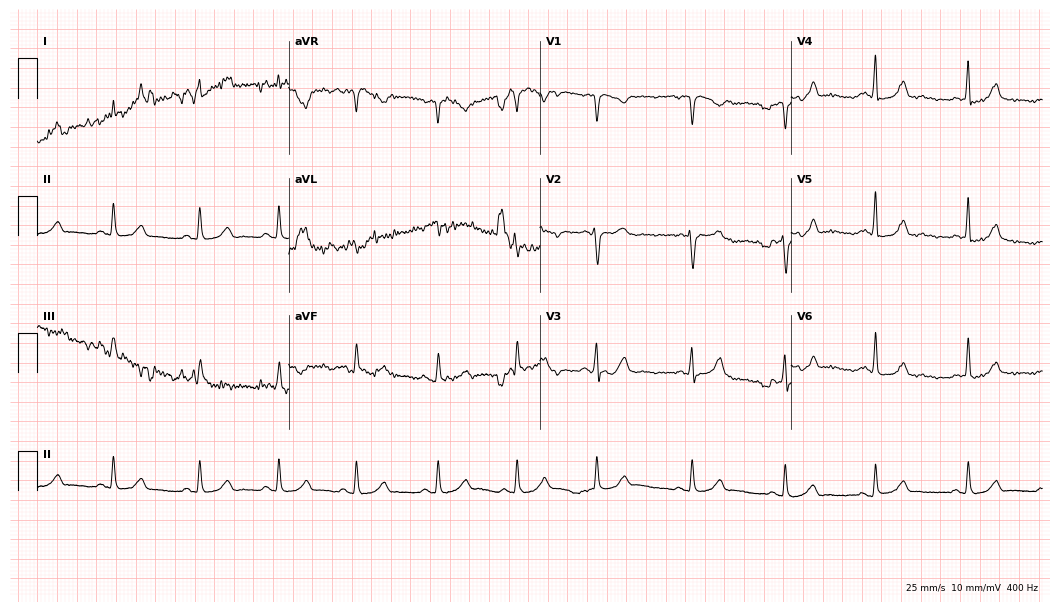
12-lead ECG from a woman, 27 years old (10.2-second recording at 400 Hz). No first-degree AV block, right bundle branch block, left bundle branch block, sinus bradycardia, atrial fibrillation or sinus tachycardia recorded for this tracing. Findings outside these six are not listed.